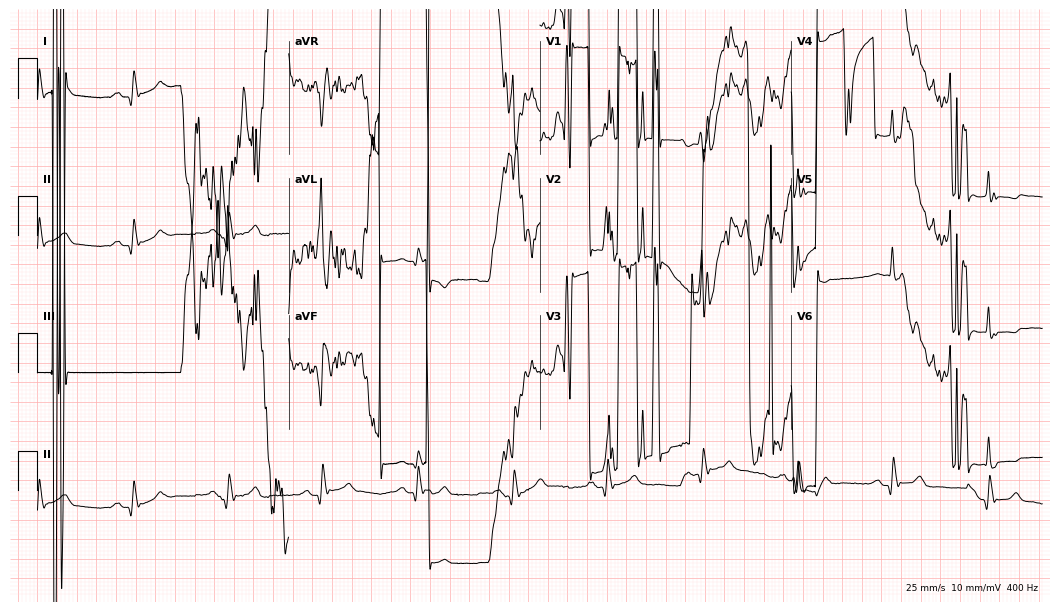
12-lead ECG (10.2-second recording at 400 Hz) from a 63-year-old female. Screened for six findings — first-degree AV block, right bundle branch block, left bundle branch block, sinus bradycardia, atrial fibrillation, sinus tachycardia — none is recorded.